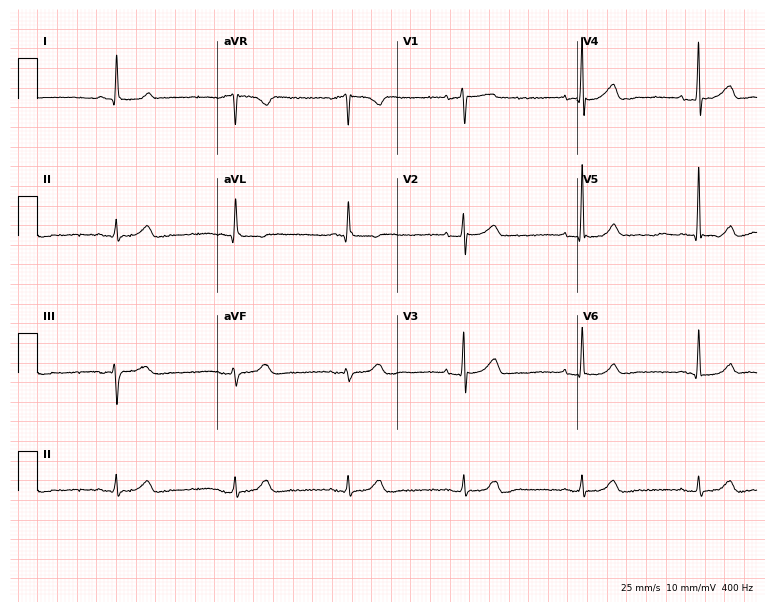
Electrocardiogram, a man, 73 years old. Interpretation includes sinus bradycardia (a sinus rate of 50 beats per minute or less).